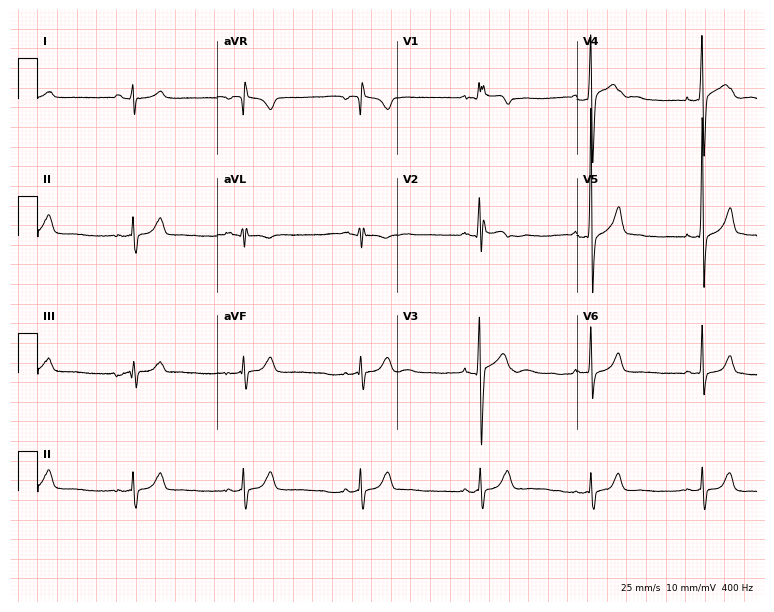
Electrocardiogram, a man, 18 years old. Of the six screened findings (first-degree AV block, right bundle branch block (RBBB), left bundle branch block (LBBB), sinus bradycardia, atrial fibrillation (AF), sinus tachycardia), none is recorded.